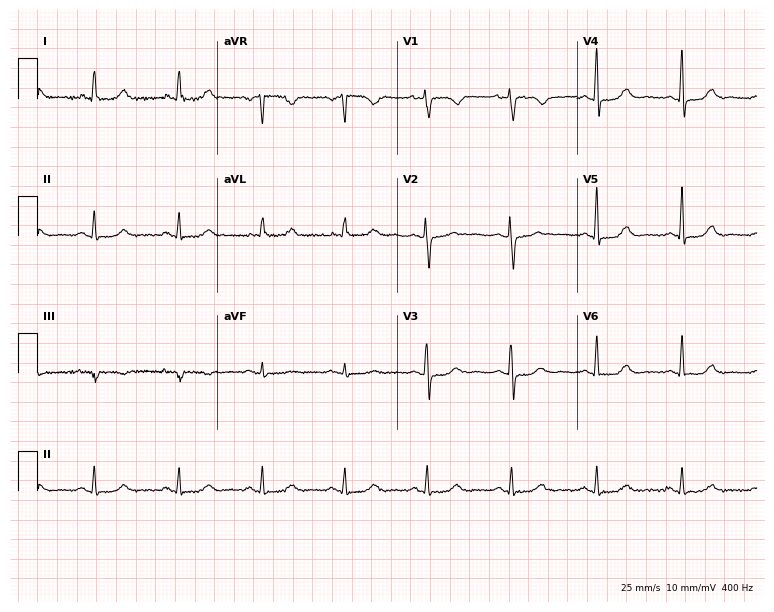
Electrocardiogram, a female patient, 69 years old. Overall reading on record: normal ECG.